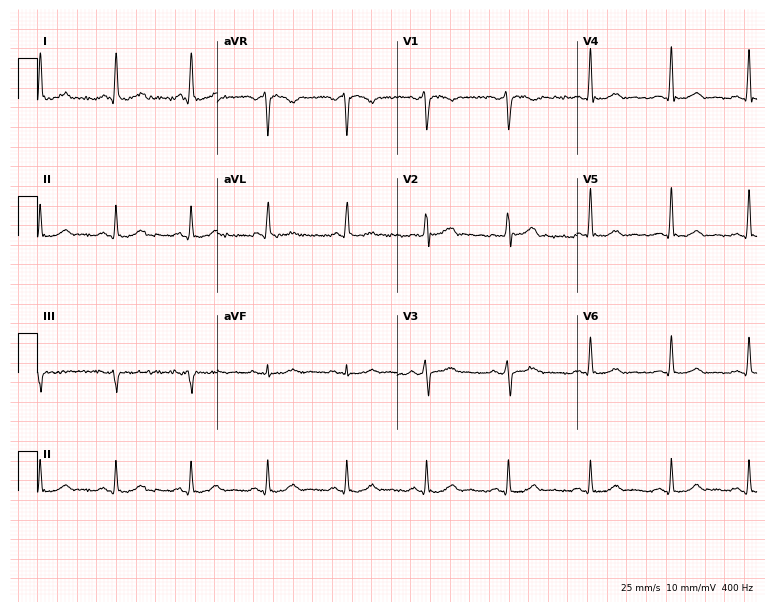
Resting 12-lead electrocardiogram (7.3-second recording at 400 Hz). Patient: a 46-year-old man. None of these six findings is recorded: first-degree AV block, right bundle branch block (RBBB), left bundle branch block (LBBB), sinus bradycardia, atrial fibrillation (AF), sinus tachycardia. Findings outside these six are not listed.